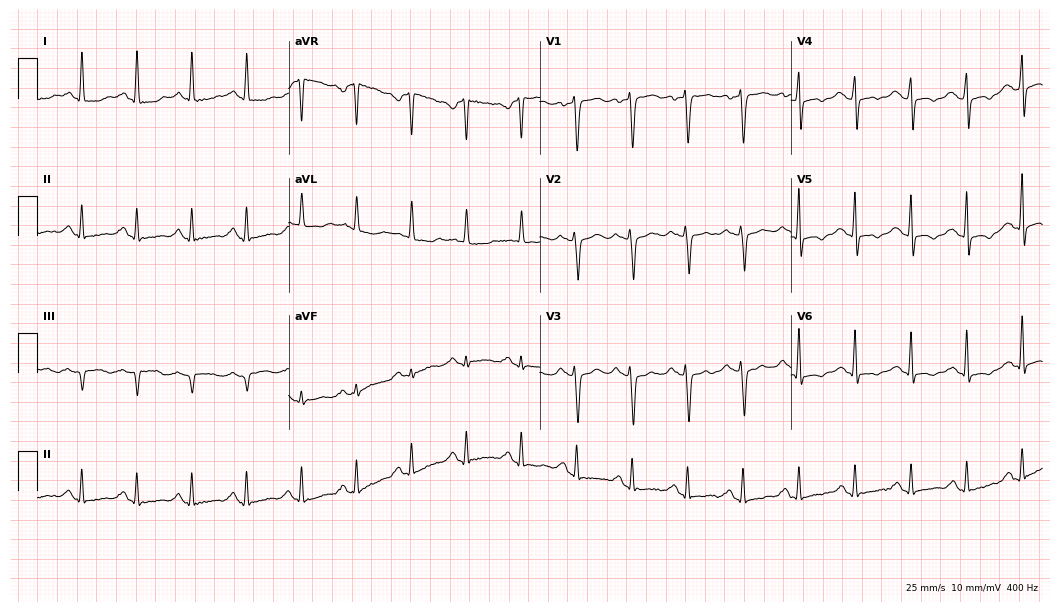
12-lead ECG from a 58-year-old woman. Shows sinus tachycardia (a sinus rate of 100 beats per minute or more).